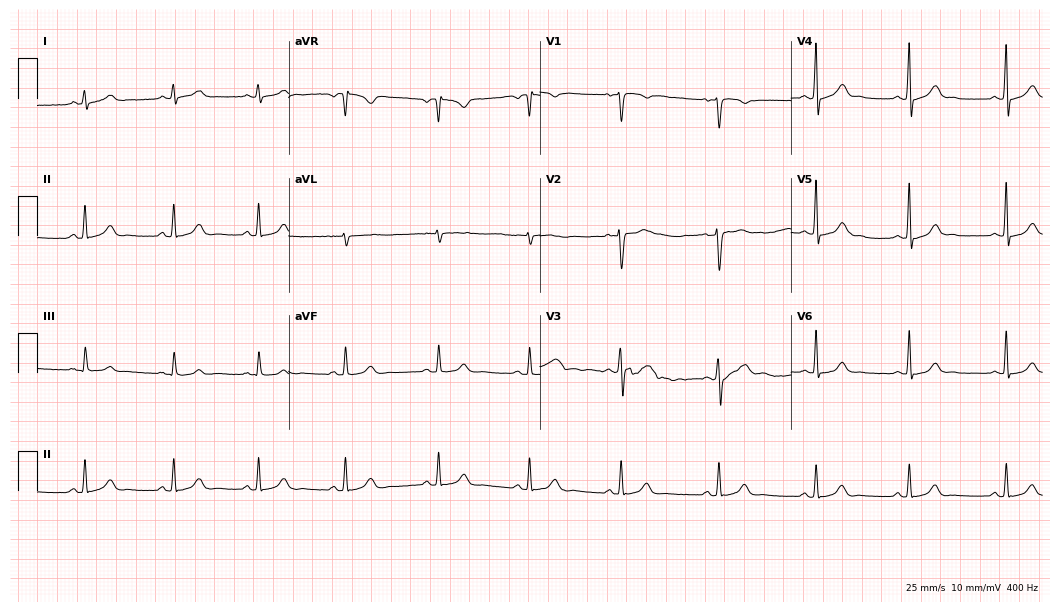
Standard 12-lead ECG recorded from a female patient, 25 years old (10.2-second recording at 400 Hz). Read as a normal ECG.